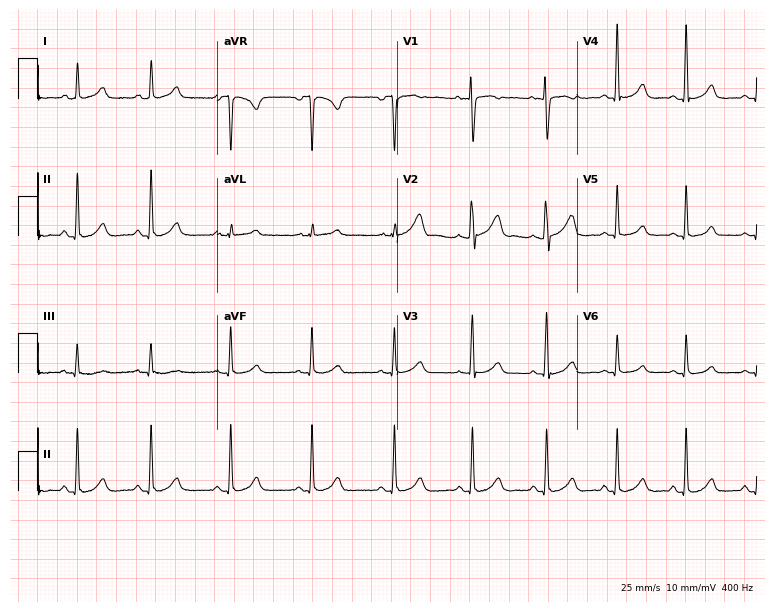
Resting 12-lead electrocardiogram. Patient: a woman, 22 years old. Read as a normal ECG.